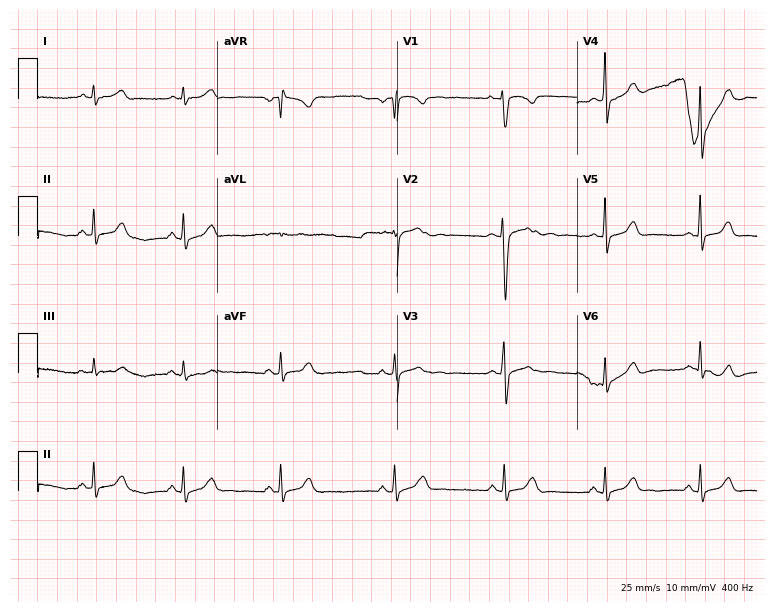
Standard 12-lead ECG recorded from an 18-year-old woman (7.3-second recording at 400 Hz). None of these six findings is recorded: first-degree AV block, right bundle branch block, left bundle branch block, sinus bradycardia, atrial fibrillation, sinus tachycardia.